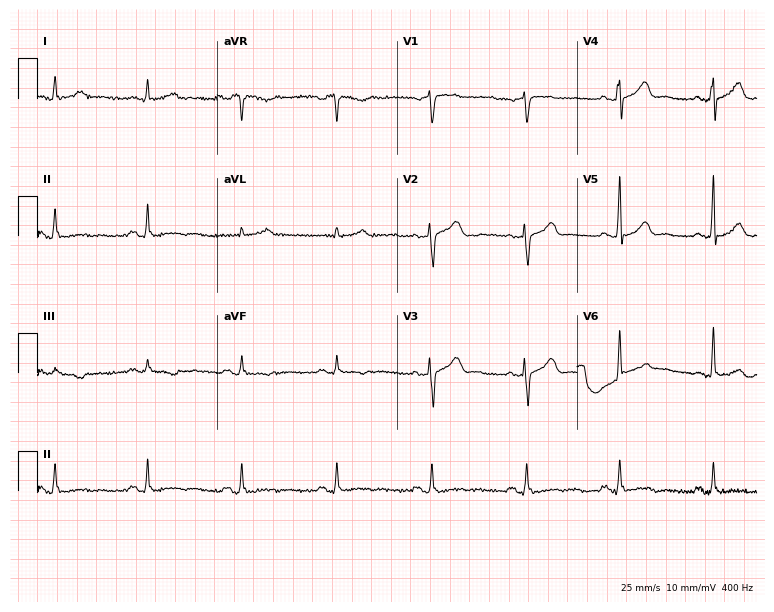
Resting 12-lead electrocardiogram. Patient: a female, 65 years old. Read as a normal ECG.